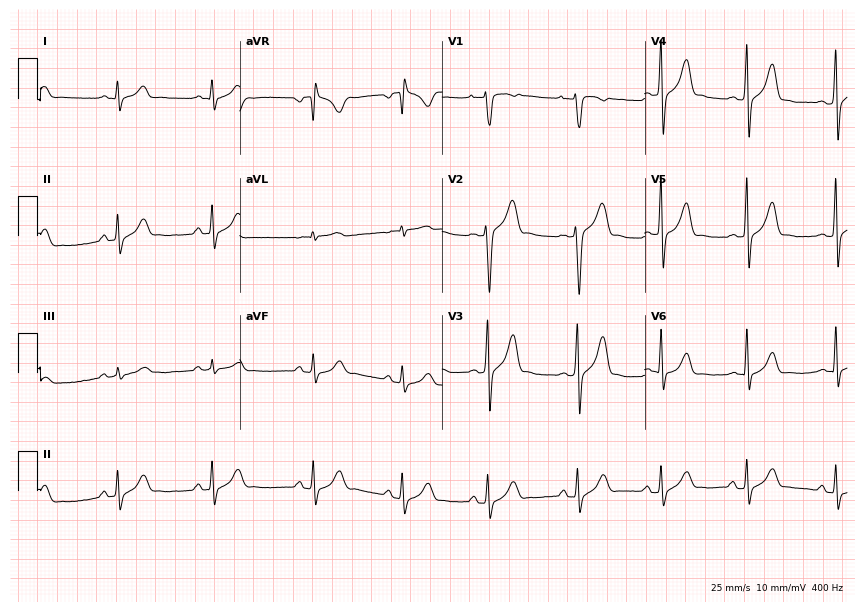
Electrocardiogram, a male patient, 19 years old. Overall reading on record: normal ECG.